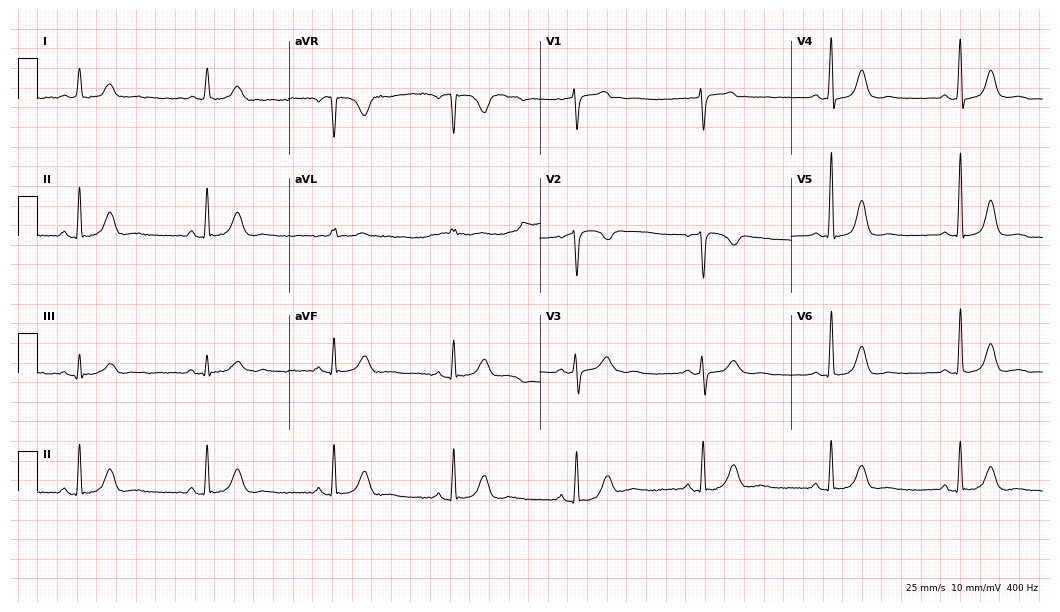
12-lead ECG (10.2-second recording at 400 Hz) from a 58-year-old female patient. Findings include sinus bradycardia (a sinus rate of 50 beats per minute or less).